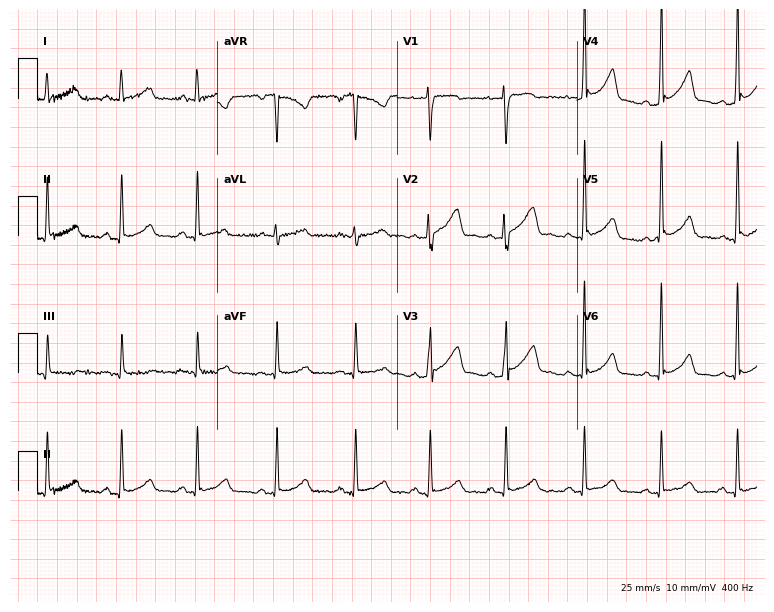
12-lead ECG from a female patient, 28 years old. Recorded interpretation: within normal limits.